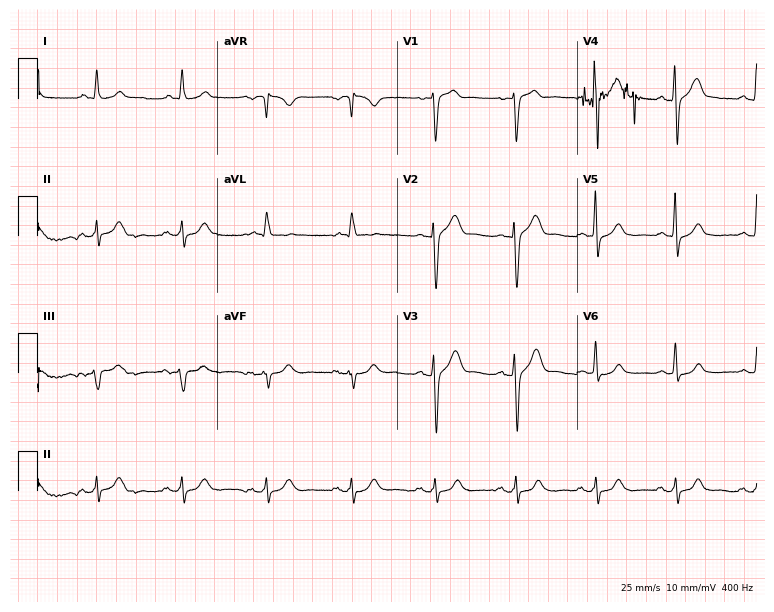
12-lead ECG from a 64-year-old man. Recorded interpretation: within normal limits.